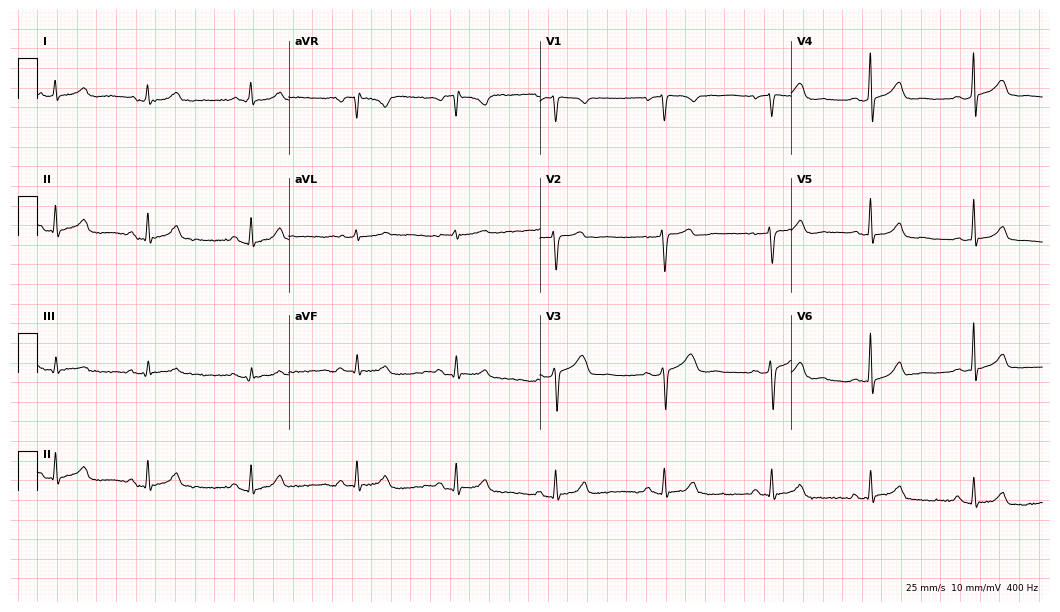
Resting 12-lead electrocardiogram (10.2-second recording at 400 Hz). Patient: a woman, 41 years old. Read as a normal ECG.